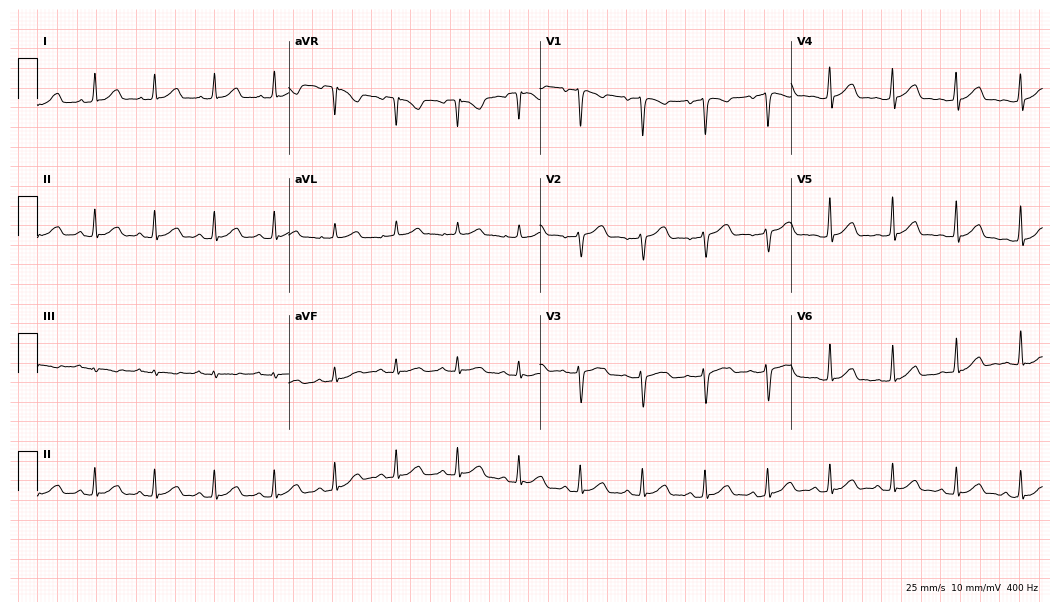
Standard 12-lead ECG recorded from a 49-year-old female patient. Read as a normal ECG.